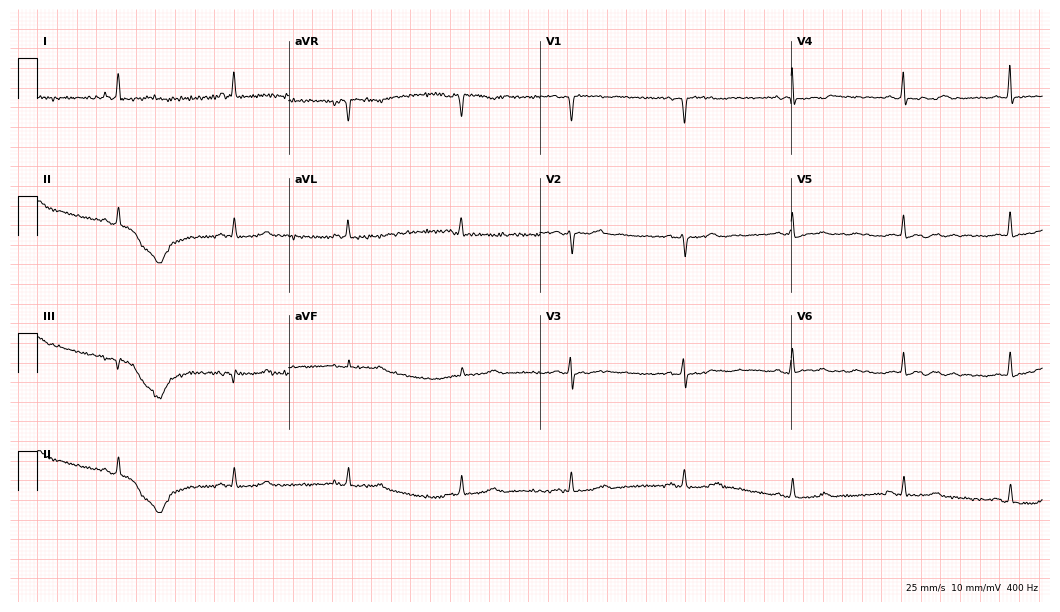
ECG — a female, 49 years old. Labelled as a normal ECG.